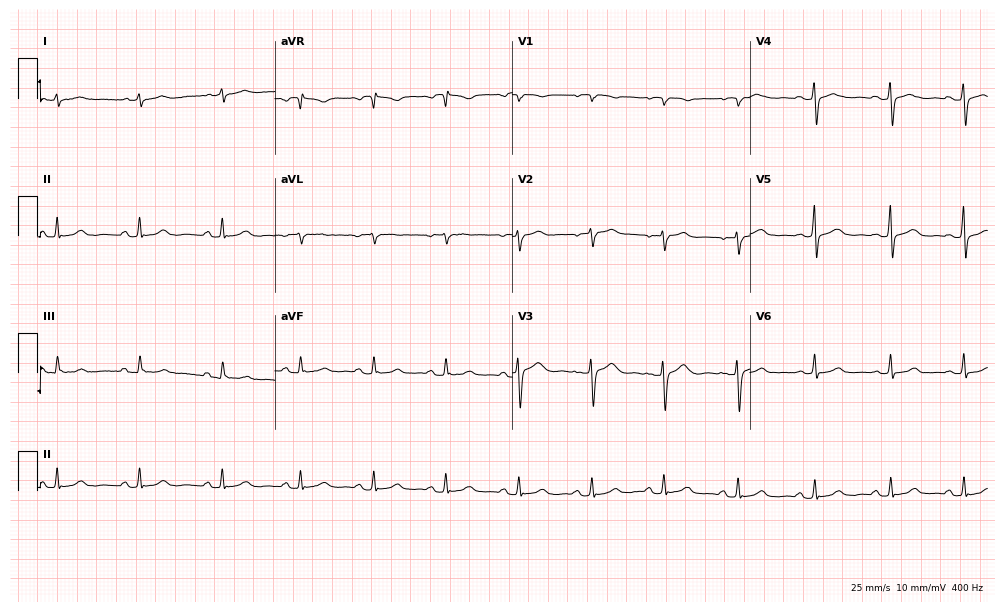
Electrocardiogram (9.7-second recording at 400 Hz), a female, 33 years old. Overall reading on record: normal ECG.